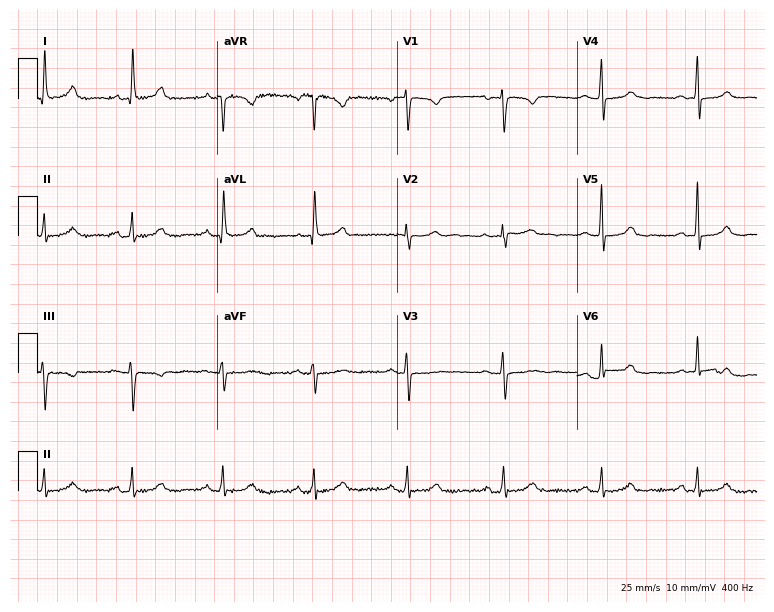
Standard 12-lead ECG recorded from a woman, 76 years old (7.3-second recording at 400 Hz). Read as a normal ECG.